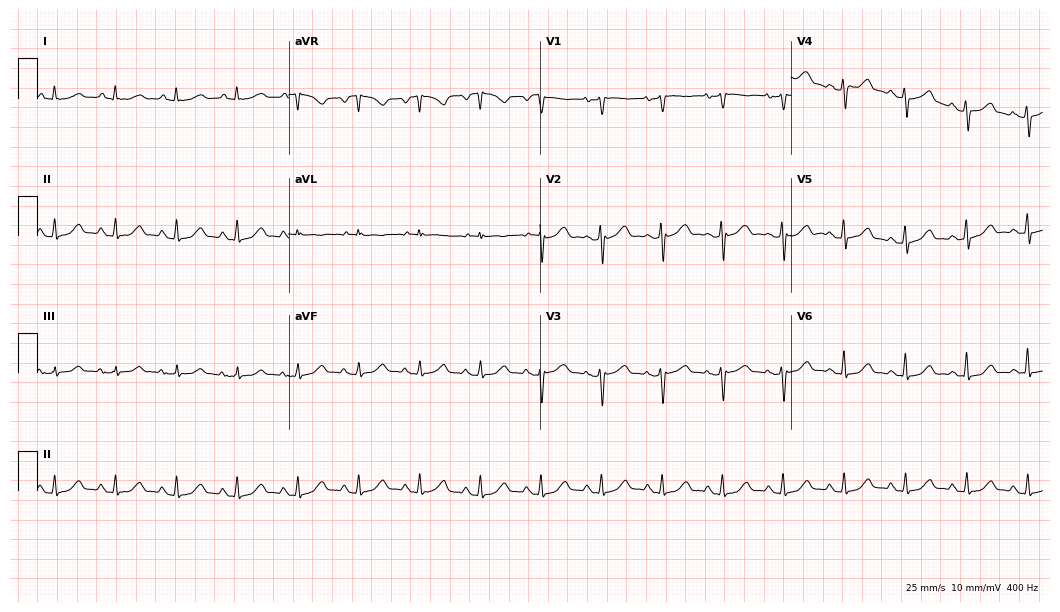
ECG — a 79-year-old female. Labelled as a normal ECG.